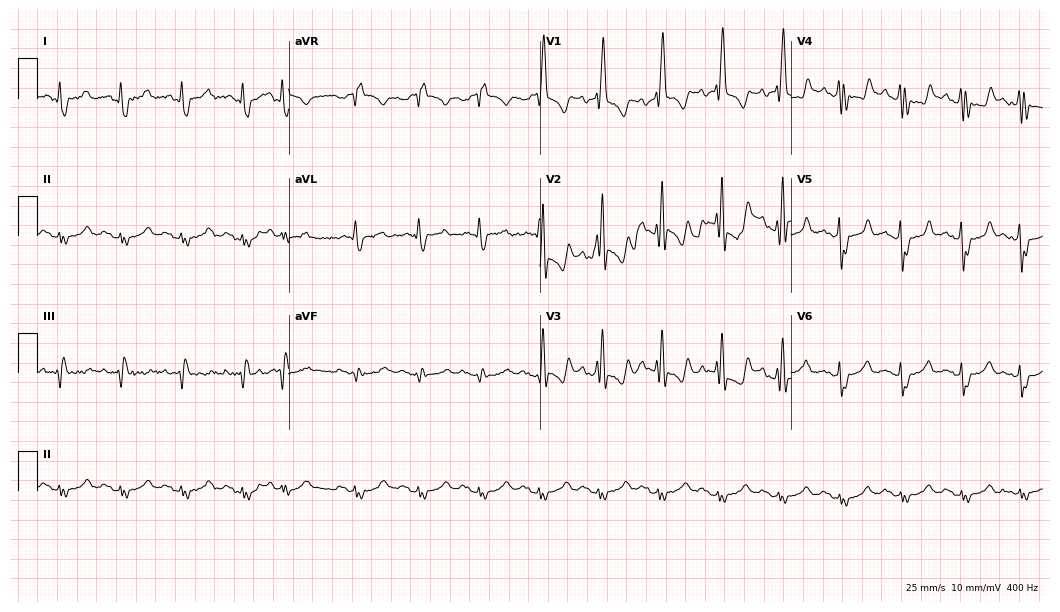
Electrocardiogram (10.2-second recording at 400 Hz), a male patient, 68 years old. Of the six screened findings (first-degree AV block, right bundle branch block, left bundle branch block, sinus bradycardia, atrial fibrillation, sinus tachycardia), none is recorded. Only these six findings were labelled.